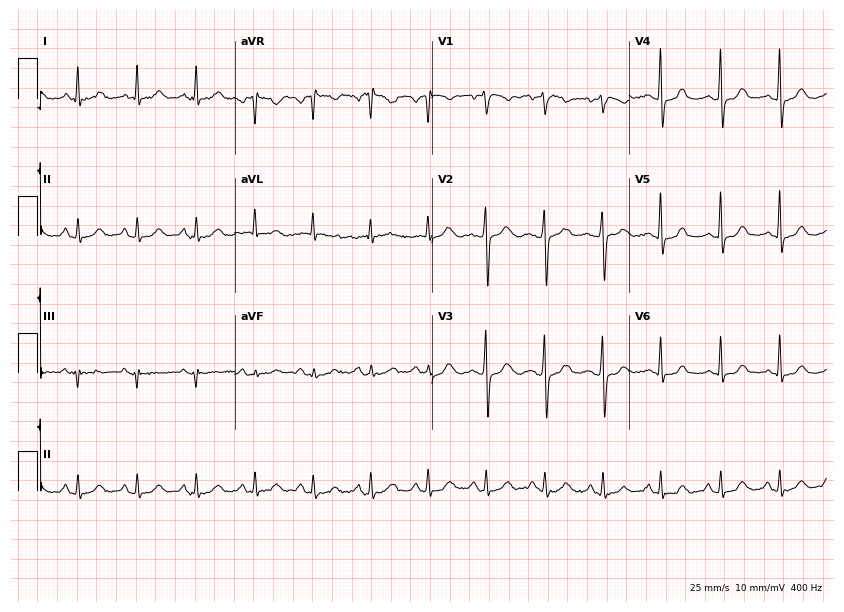
Electrocardiogram, a female, 47 years old. Overall reading on record: normal ECG.